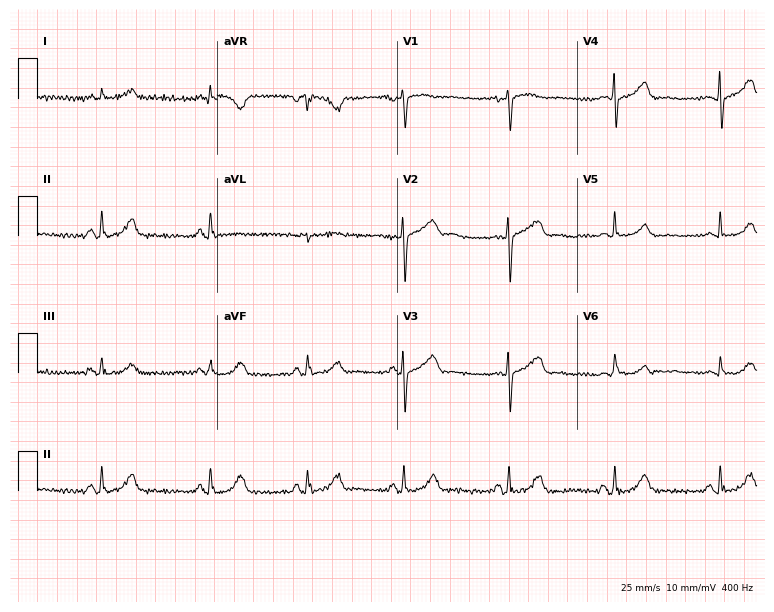
Standard 12-lead ECG recorded from a 67-year-old woman. Read as a normal ECG.